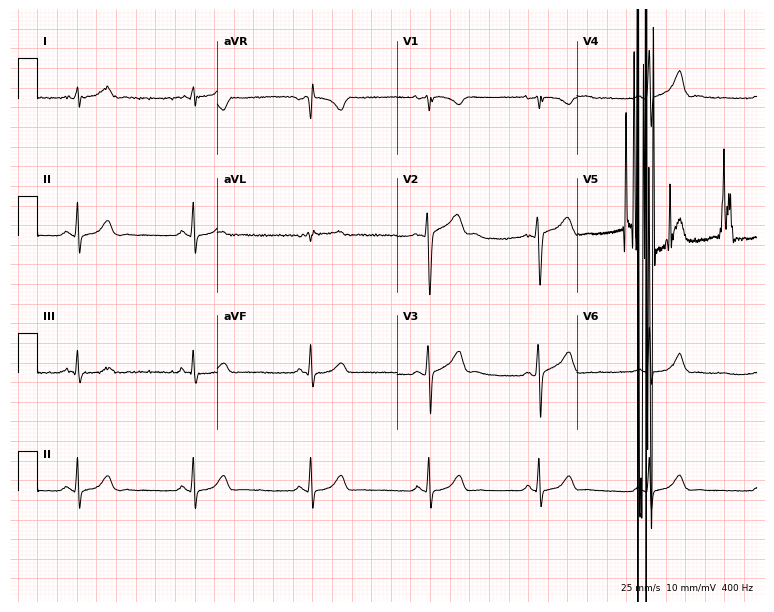
12-lead ECG from a male patient, 22 years old (7.3-second recording at 400 Hz). Recorded interpretation: within normal limits.